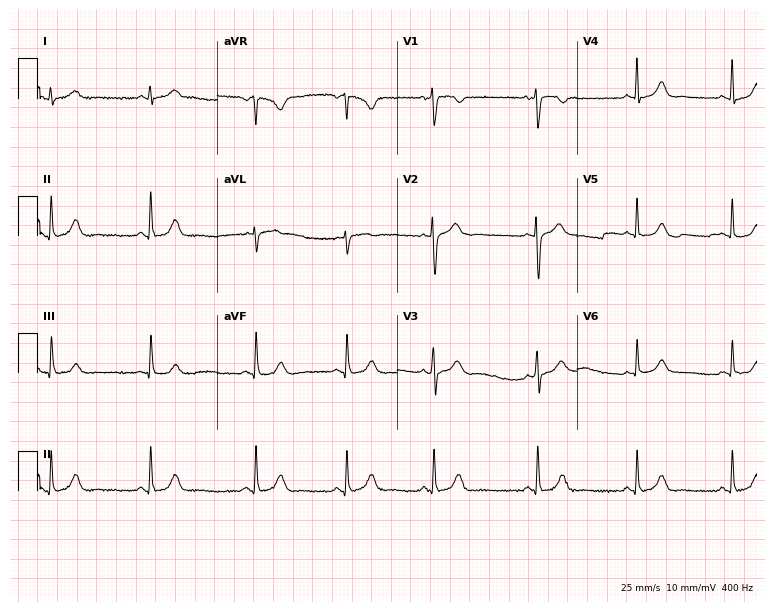
Resting 12-lead electrocardiogram. Patient: a 23-year-old woman. Read as a normal ECG.